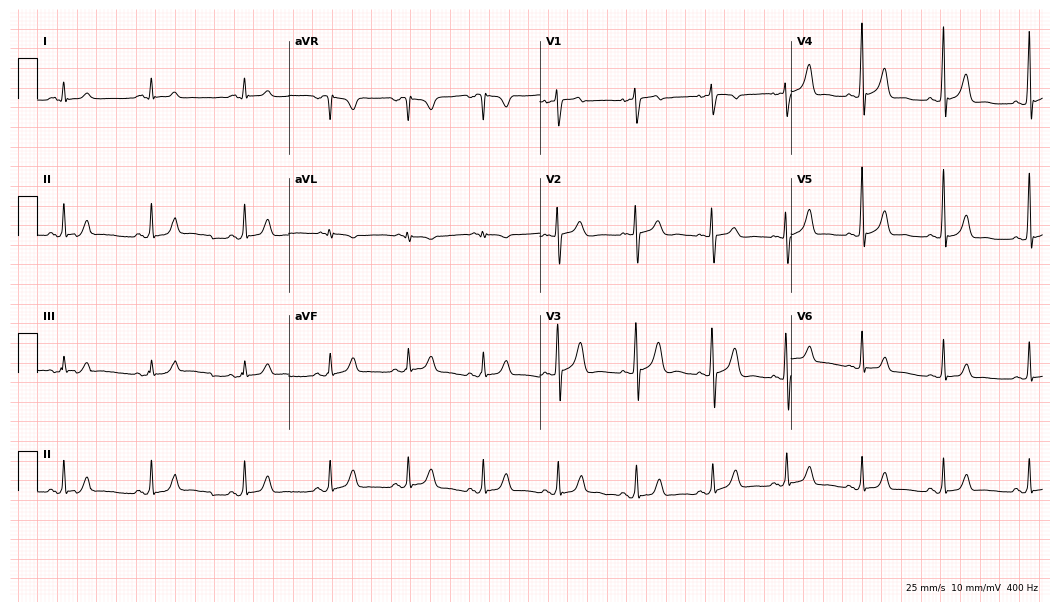
Standard 12-lead ECG recorded from a 19-year-old man. Read as a normal ECG.